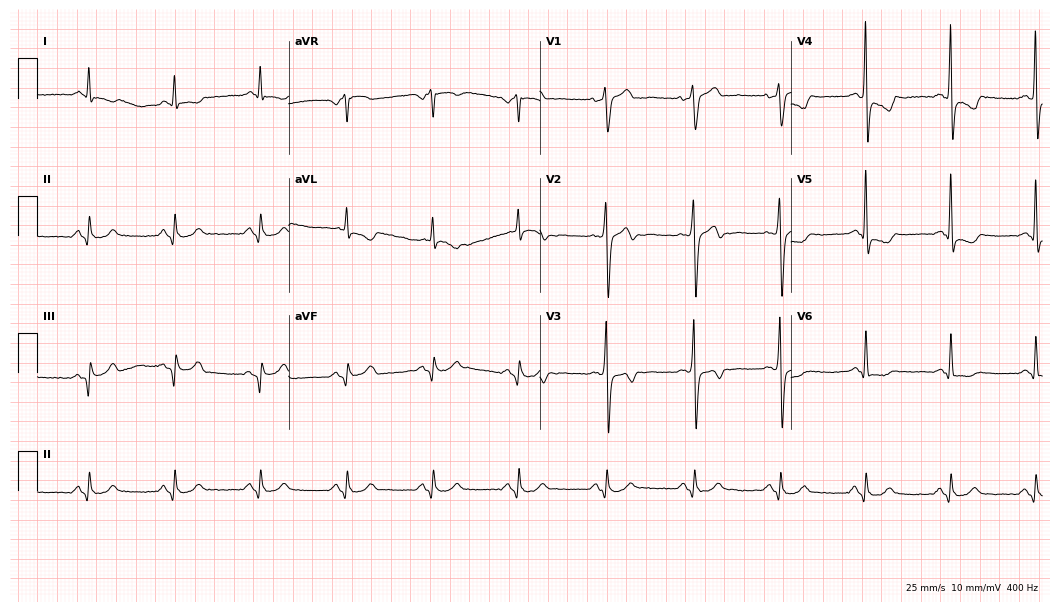
Standard 12-lead ECG recorded from a male, 61 years old (10.2-second recording at 400 Hz). None of these six findings is recorded: first-degree AV block, right bundle branch block (RBBB), left bundle branch block (LBBB), sinus bradycardia, atrial fibrillation (AF), sinus tachycardia. Findings outside these six are not listed.